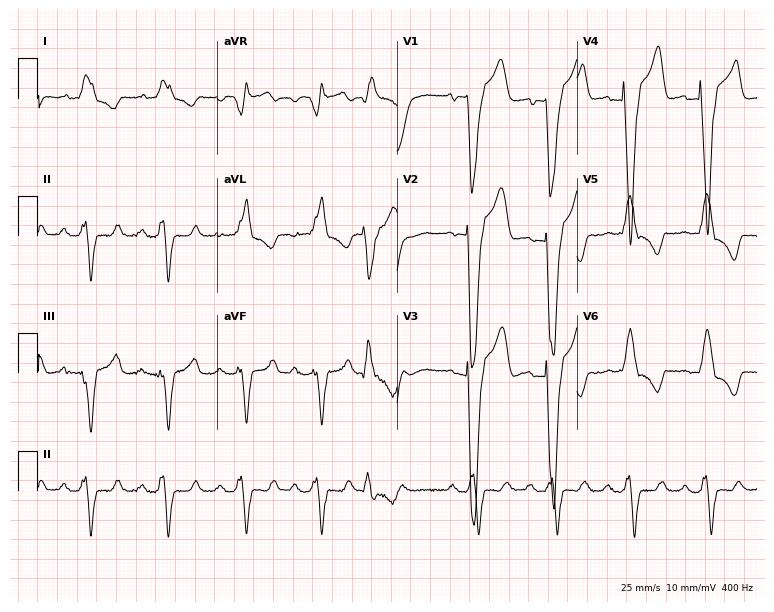
12-lead ECG from a man, 70 years old. Shows left bundle branch block (LBBB).